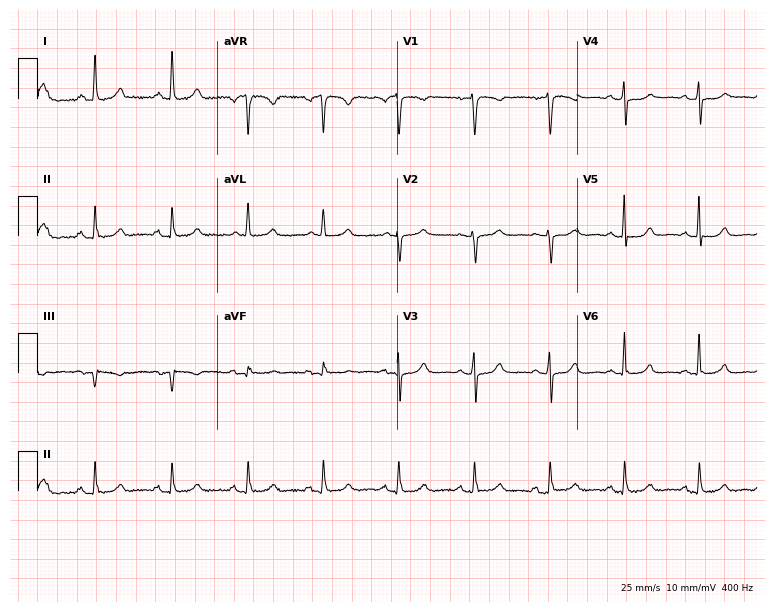
Electrocardiogram (7.3-second recording at 400 Hz), a 66-year-old female patient. Overall reading on record: normal ECG.